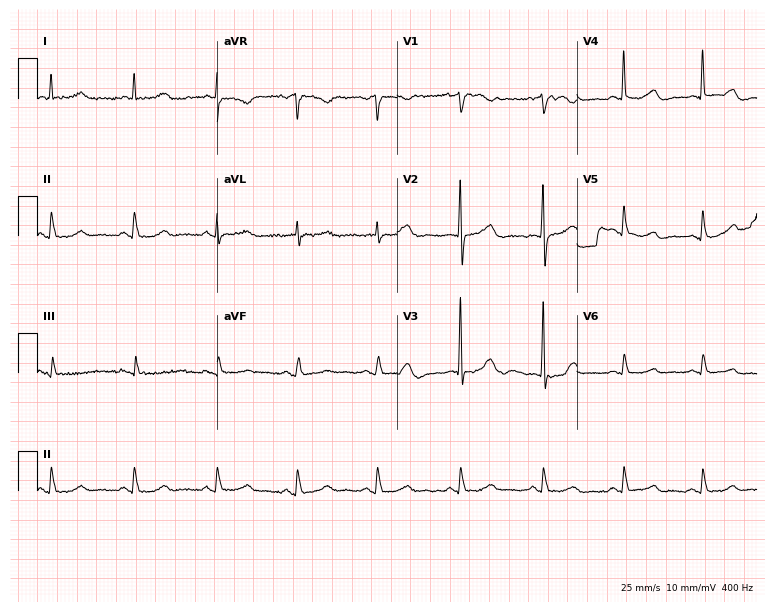
ECG — a female patient, 68 years old. Screened for six findings — first-degree AV block, right bundle branch block, left bundle branch block, sinus bradycardia, atrial fibrillation, sinus tachycardia — none is recorded. Only these six findings were labelled.